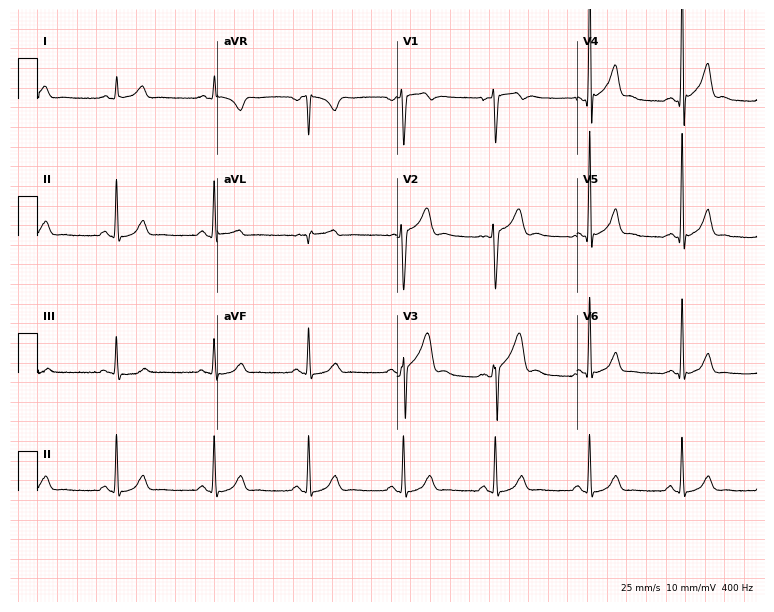
12-lead ECG (7.3-second recording at 400 Hz) from a 21-year-old male patient. Screened for six findings — first-degree AV block, right bundle branch block, left bundle branch block, sinus bradycardia, atrial fibrillation, sinus tachycardia — none is recorded. Other findings, if any, are not listed.